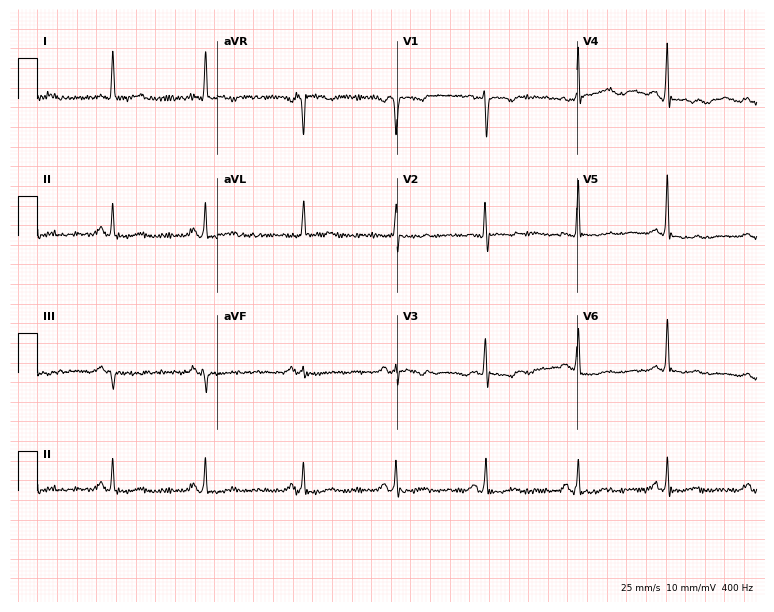
12-lead ECG (7.3-second recording at 400 Hz) from a woman, 57 years old. Screened for six findings — first-degree AV block, right bundle branch block, left bundle branch block, sinus bradycardia, atrial fibrillation, sinus tachycardia — none is recorded. Only these six findings were labelled.